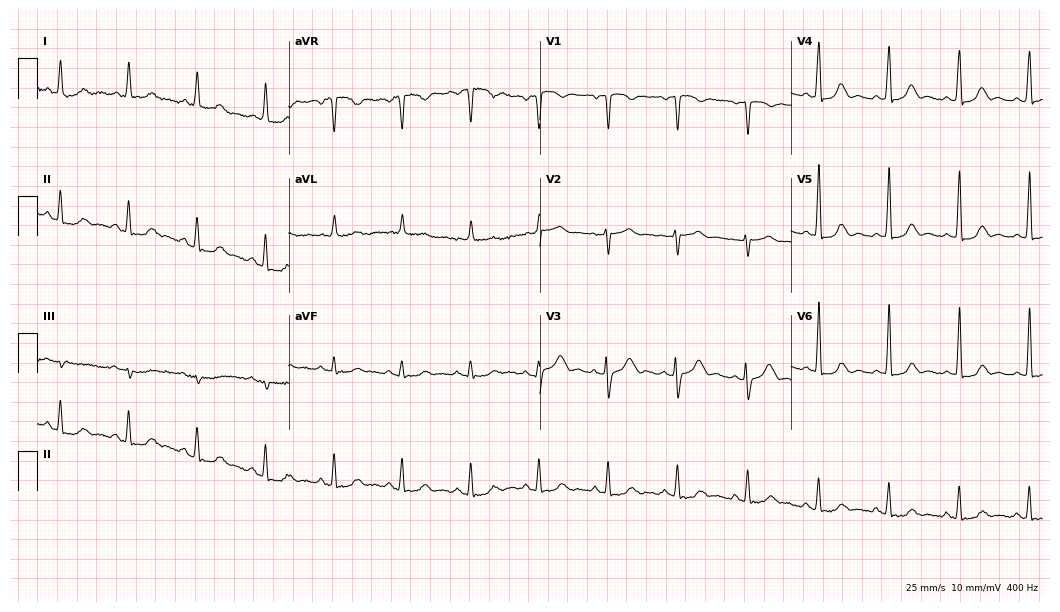
Standard 12-lead ECG recorded from a 45-year-old female patient (10.2-second recording at 400 Hz). None of these six findings is recorded: first-degree AV block, right bundle branch block, left bundle branch block, sinus bradycardia, atrial fibrillation, sinus tachycardia.